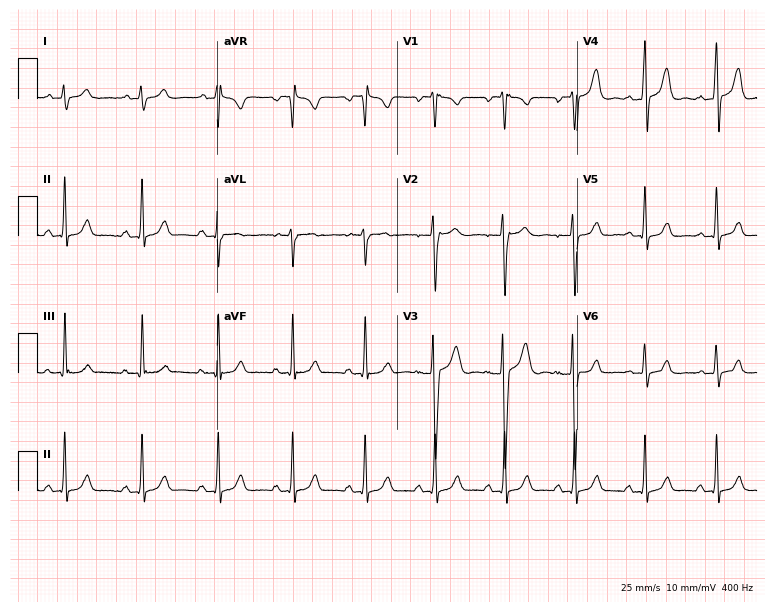
ECG (7.3-second recording at 400 Hz) — an 18-year-old male patient. Labelled as a normal ECG.